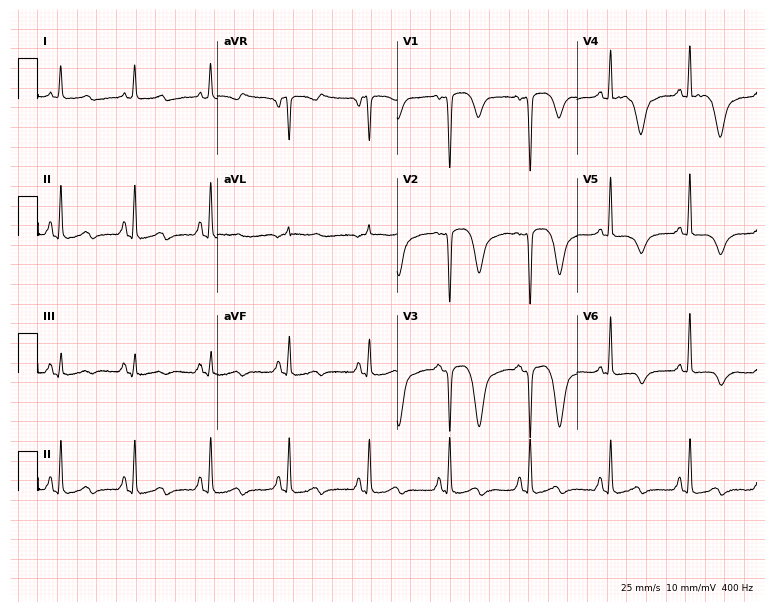
Standard 12-lead ECG recorded from a 52-year-old woman. None of these six findings is recorded: first-degree AV block, right bundle branch block (RBBB), left bundle branch block (LBBB), sinus bradycardia, atrial fibrillation (AF), sinus tachycardia. Other findings, if any, are not listed.